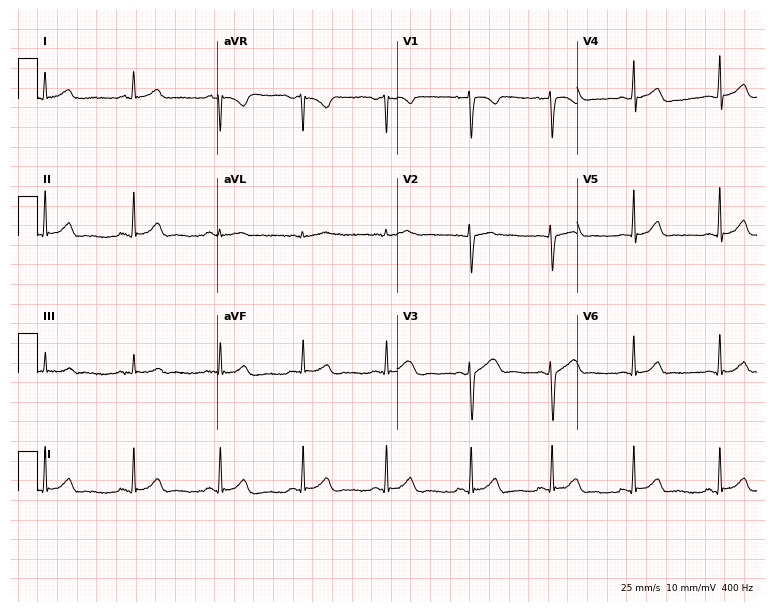
ECG (7.3-second recording at 400 Hz) — a 24-year-old female patient. Screened for six findings — first-degree AV block, right bundle branch block (RBBB), left bundle branch block (LBBB), sinus bradycardia, atrial fibrillation (AF), sinus tachycardia — none is recorded. Other findings, if any, are not listed.